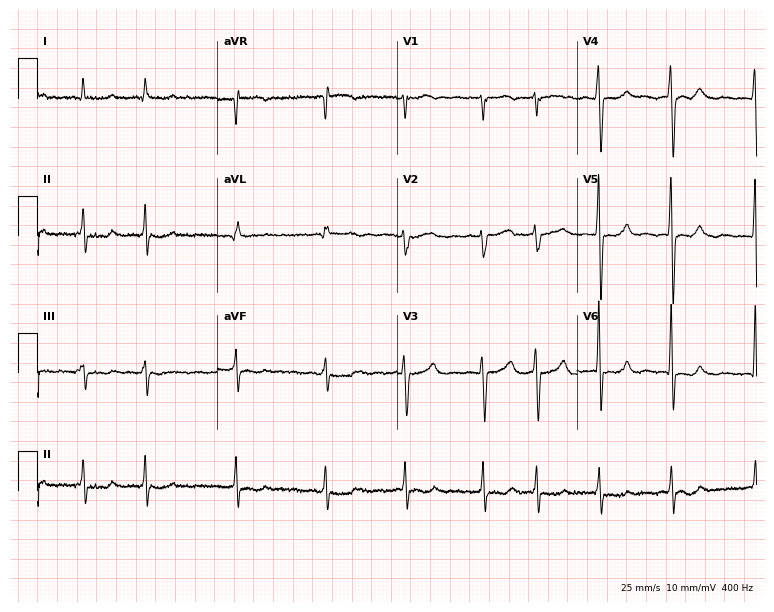
Resting 12-lead electrocardiogram. Patient: an 80-year-old male. None of these six findings is recorded: first-degree AV block, right bundle branch block, left bundle branch block, sinus bradycardia, atrial fibrillation, sinus tachycardia. Other findings, if any, are not listed.